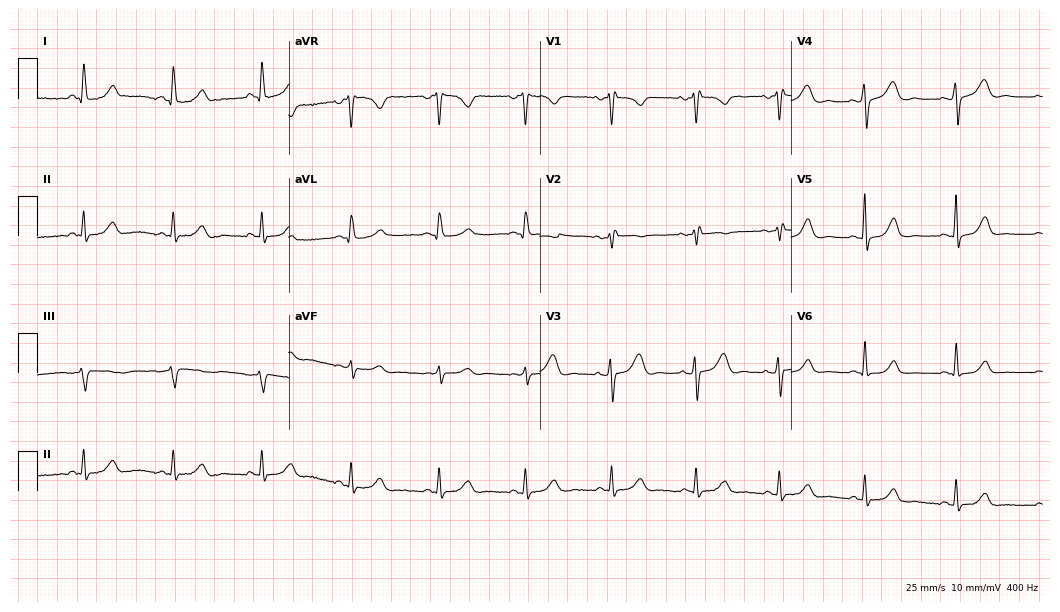
12-lead ECG (10.2-second recording at 400 Hz) from a woman, 44 years old. Screened for six findings — first-degree AV block, right bundle branch block, left bundle branch block, sinus bradycardia, atrial fibrillation, sinus tachycardia — none is recorded. Only these six findings were labelled.